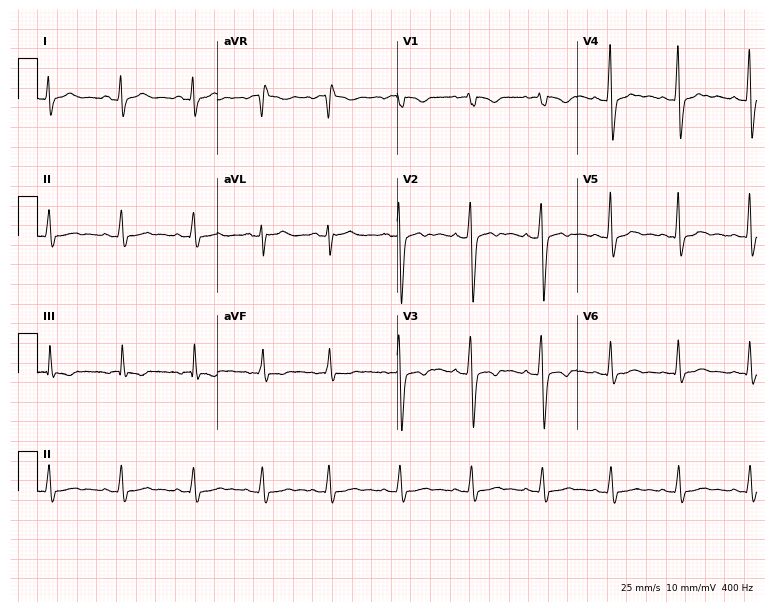
12-lead ECG from a 28-year-old female patient. Screened for six findings — first-degree AV block, right bundle branch block (RBBB), left bundle branch block (LBBB), sinus bradycardia, atrial fibrillation (AF), sinus tachycardia — none is recorded. Findings outside these six are not listed.